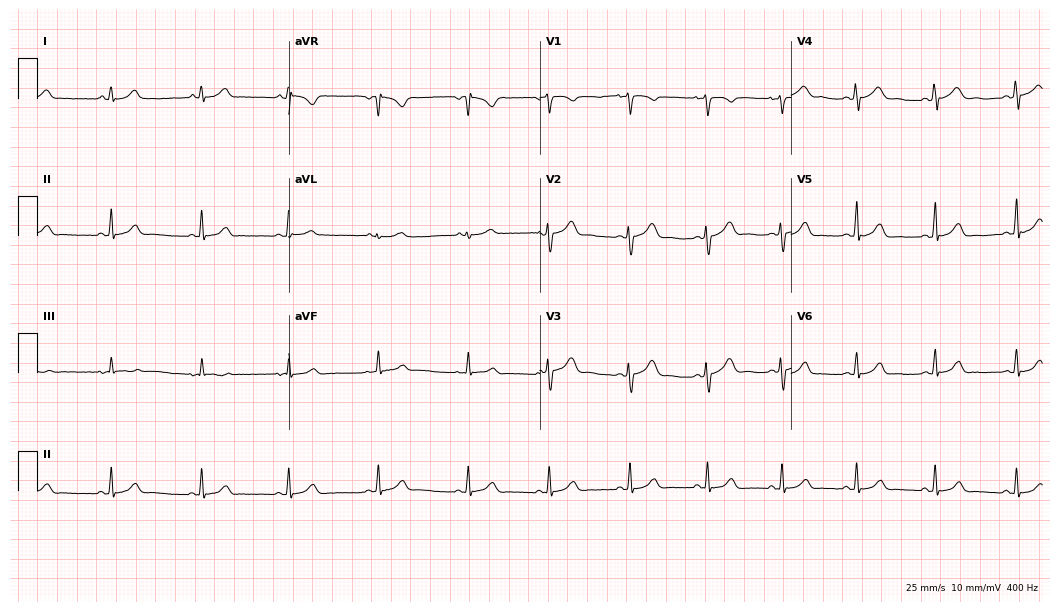
12-lead ECG (10.2-second recording at 400 Hz) from a 25-year-old woman. Screened for six findings — first-degree AV block, right bundle branch block, left bundle branch block, sinus bradycardia, atrial fibrillation, sinus tachycardia — none is recorded. Other findings, if any, are not listed.